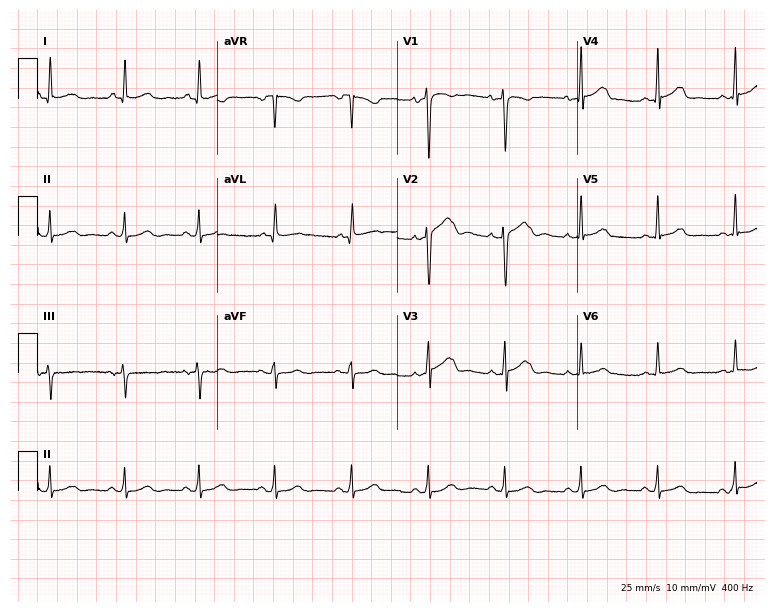
Electrocardiogram, a woman, 28 years old. Of the six screened findings (first-degree AV block, right bundle branch block, left bundle branch block, sinus bradycardia, atrial fibrillation, sinus tachycardia), none is recorded.